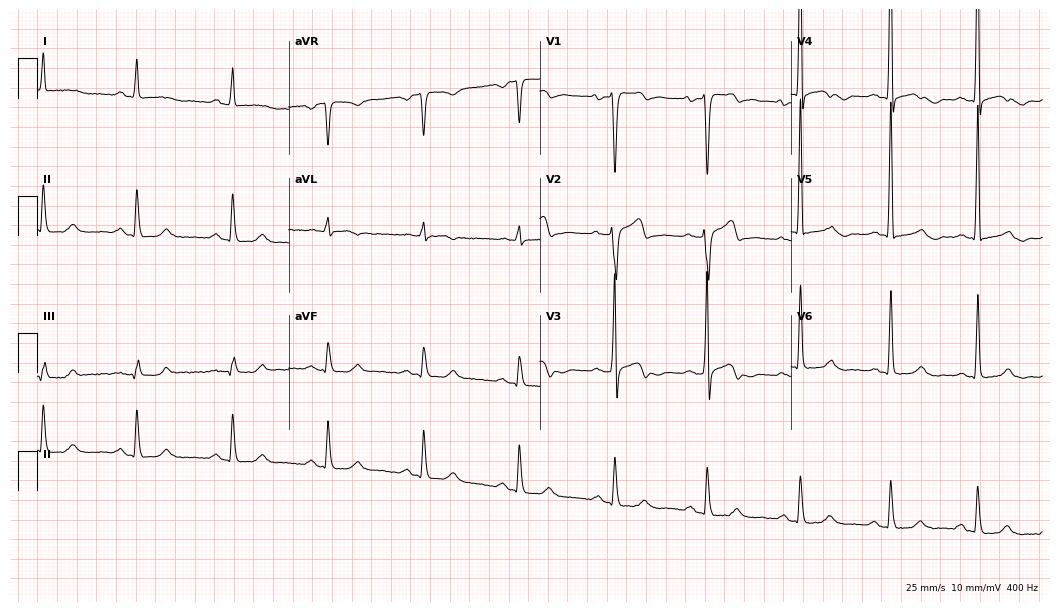
12-lead ECG from a 59-year-old male patient. Screened for six findings — first-degree AV block, right bundle branch block, left bundle branch block, sinus bradycardia, atrial fibrillation, sinus tachycardia — none is recorded. Other findings, if any, are not listed.